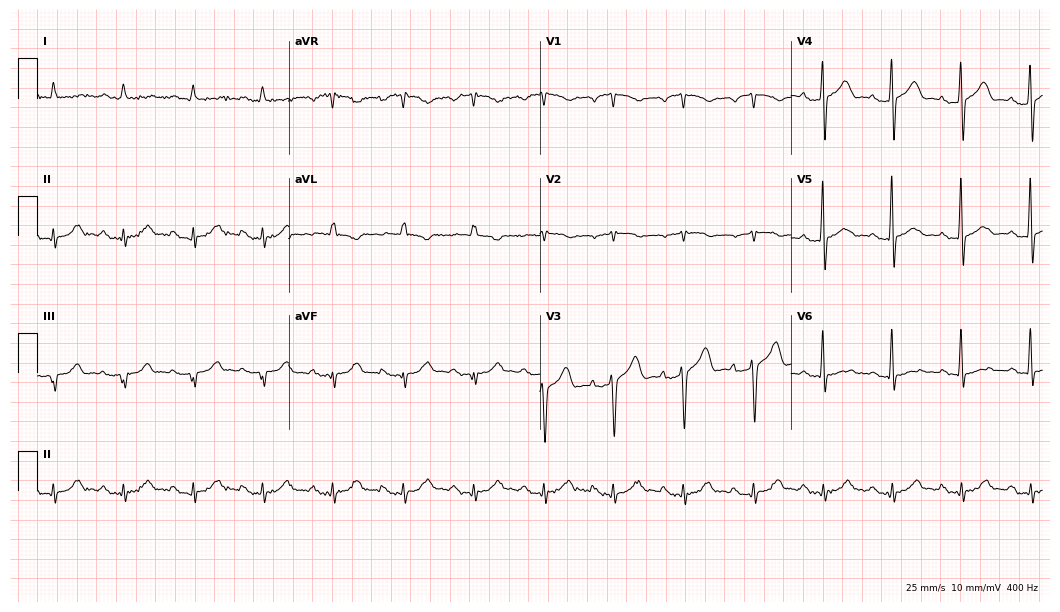
12-lead ECG from a 63-year-old man. No first-degree AV block, right bundle branch block (RBBB), left bundle branch block (LBBB), sinus bradycardia, atrial fibrillation (AF) or sinus tachycardia recorded for this tracing. Only these six findings were labelled.